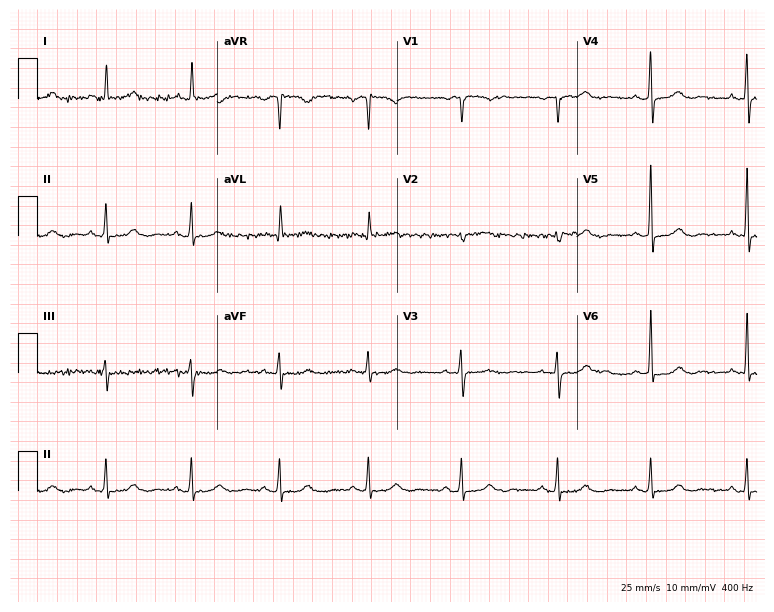
Standard 12-lead ECG recorded from a woman, 65 years old (7.3-second recording at 400 Hz). Read as a normal ECG.